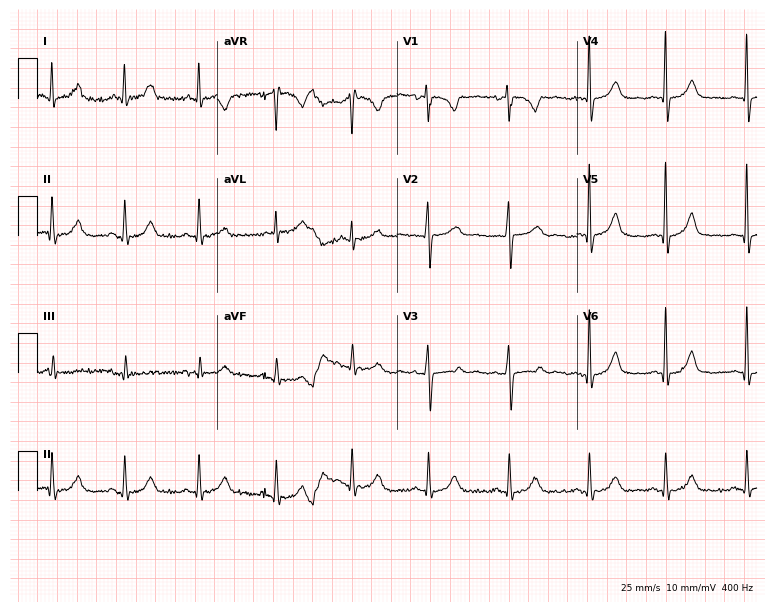
12-lead ECG (7.3-second recording at 400 Hz) from a 37-year-old female. Labelled as a normal ECG.